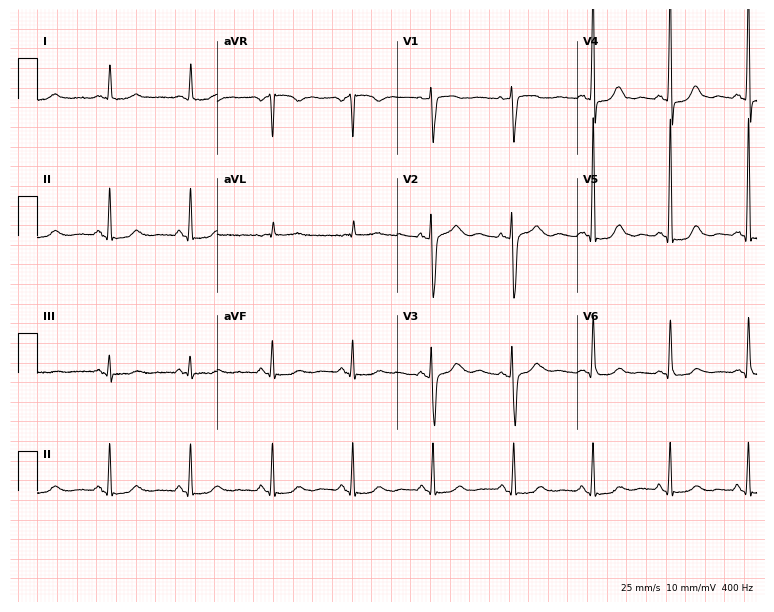
Electrocardiogram, a 75-year-old female patient. Overall reading on record: normal ECG.